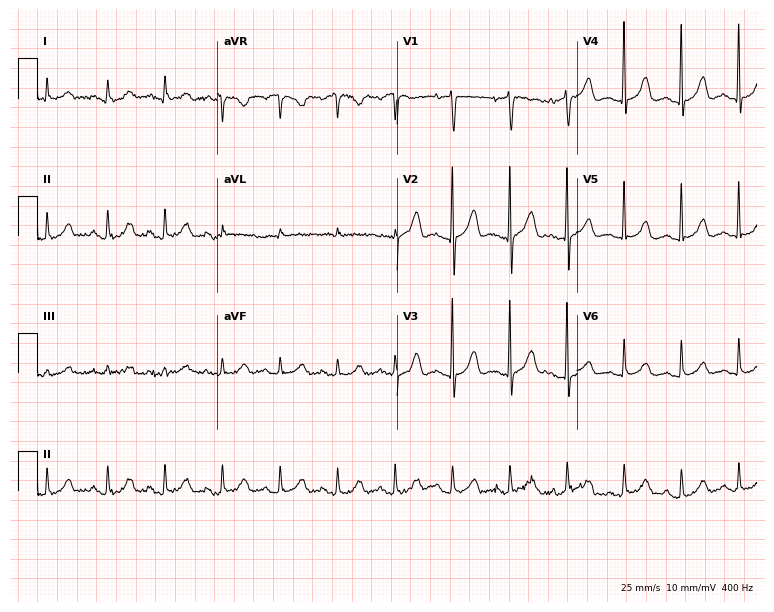
Resting 12-lead electrocardiogram. Patient: an 83-year-old female. The tracing shows sinus tachycardia (a sinus rate of 100 beats per minute or more).